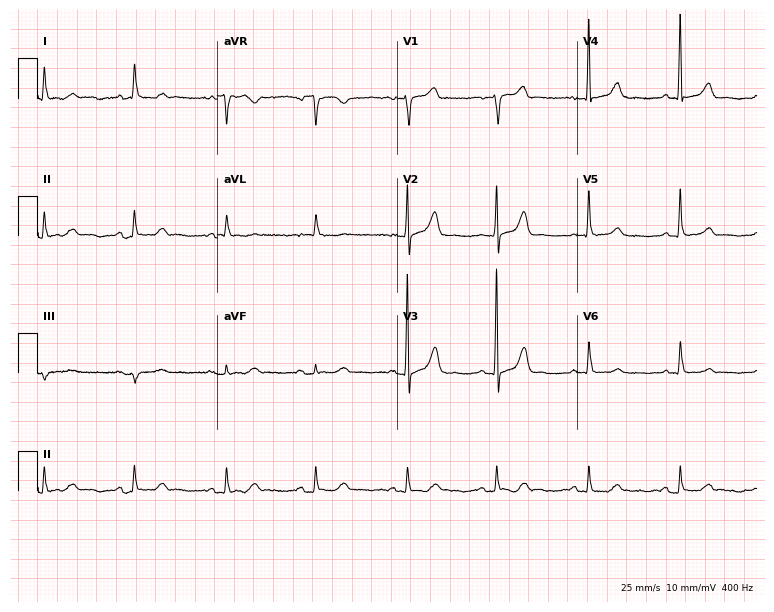
Standard 12-lead ECG recorded from a 65-year-old female patient (7.3-second recording at 400 Hz). Read as a normal ECG.